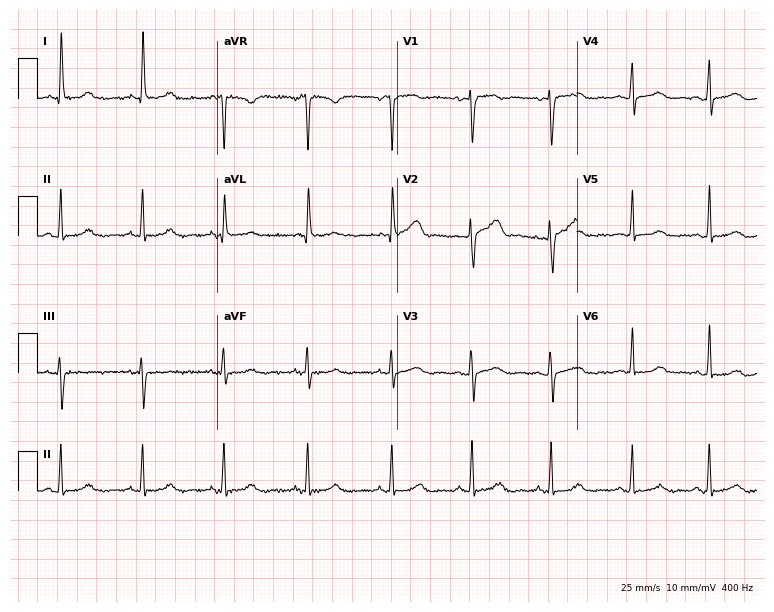
Standard 12-lead ECG recorded from a 51-year-old woman. Read as a normal ECG.